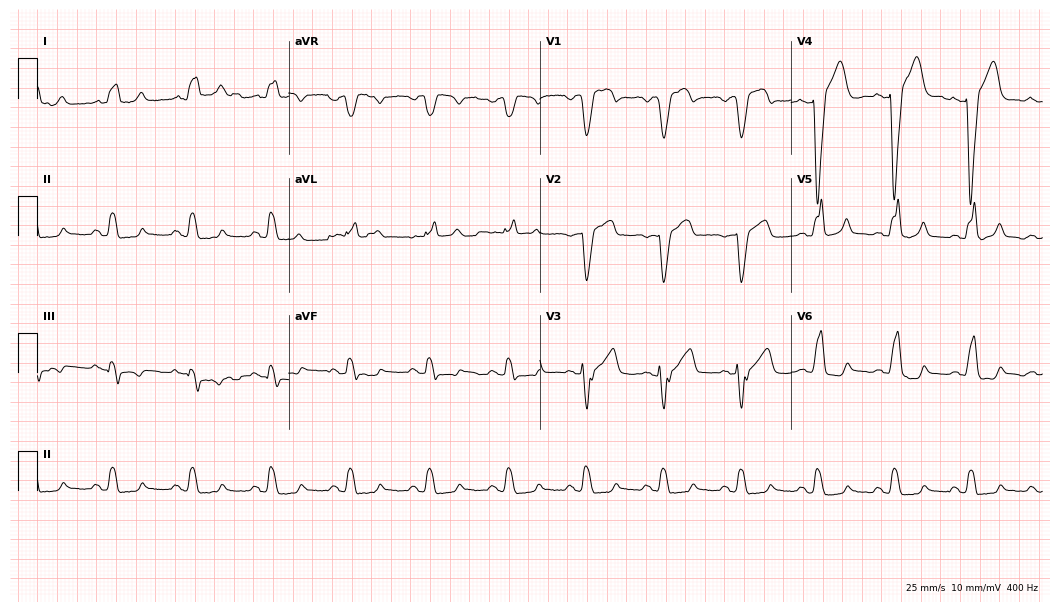
12-lead ECG from a man, 64 years old. Shows left bundle branch block.